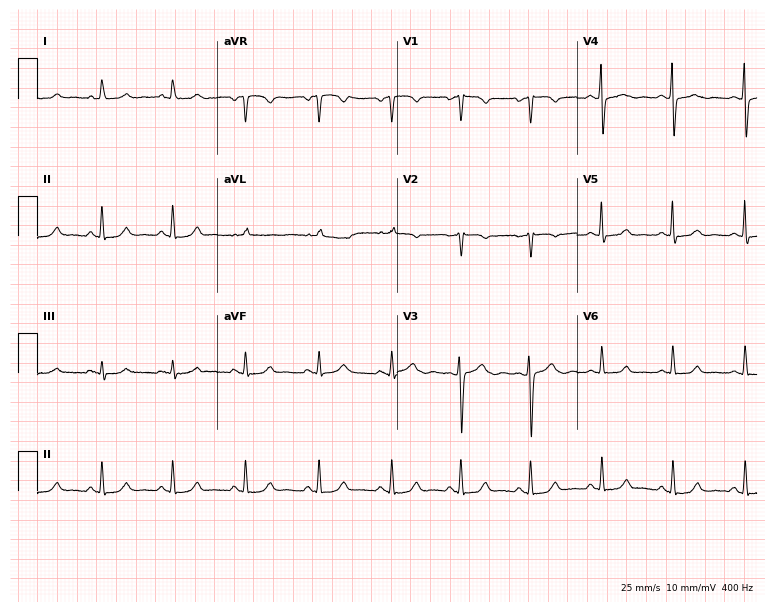
Electrocardiogram (7.3-second recording at 400 Hz), a female patient, 44 years old. Overall reading on record: normal ECG.